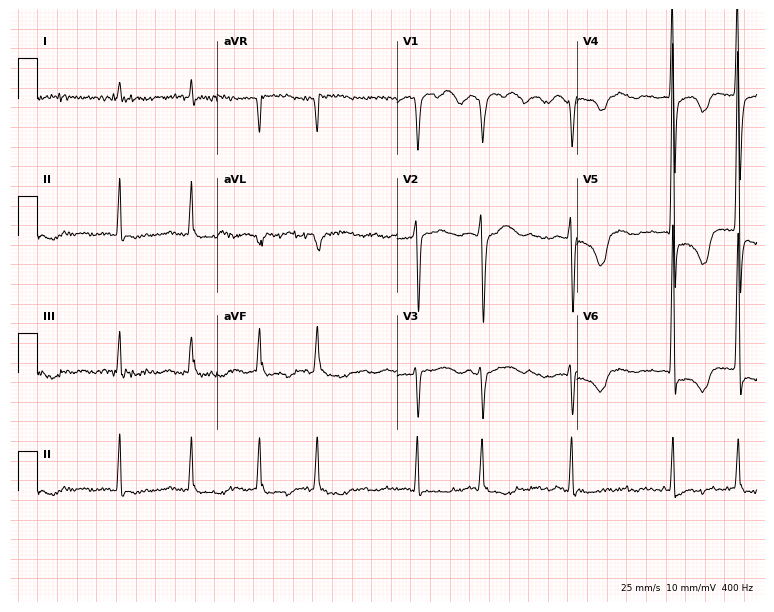
12-lead ECG (7.3-second recording at 400 Hz) from a 73-year-old female. Findings include atrial fibrillation.